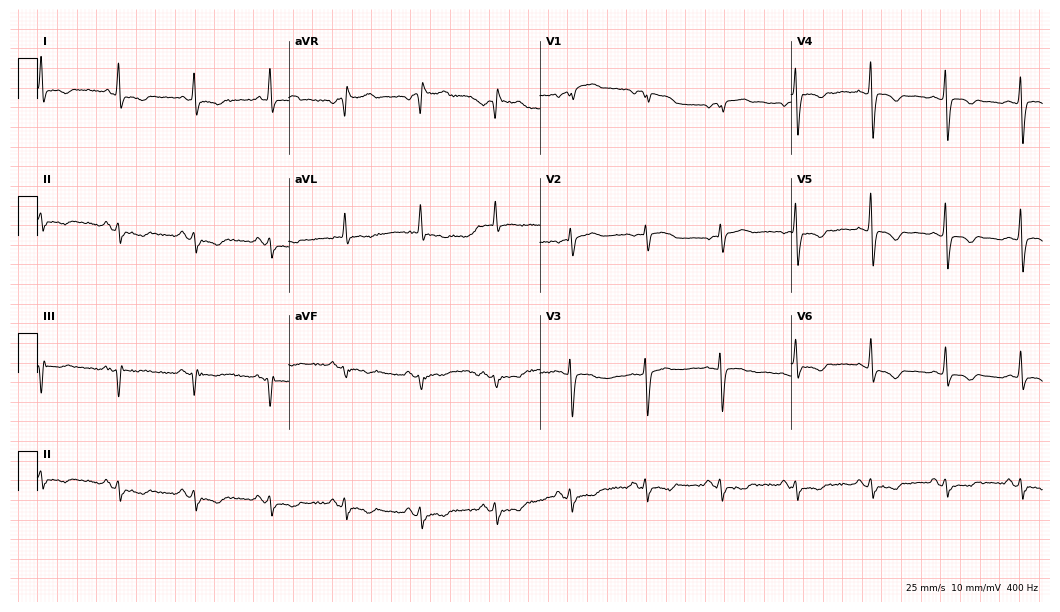
Standard 12-lead ECG recorded from a 77-year-old female (10.2-second recording at 400 Hz). None of these six findings is recorded: first-degree AV block, right bundle branch block (RBBB), left bundle branch block (LBBB), sinus bradycardia, atrial fibrillation (AF), sinus tachycardia.